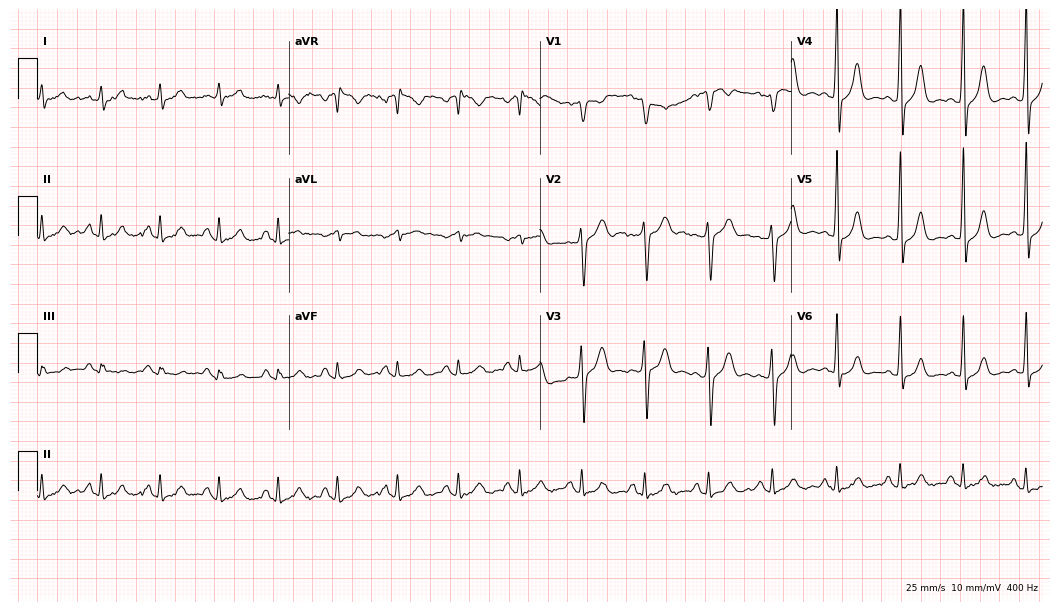
ECG (10.2-second recording at 400 Hz) — a male patient, 55 years old. Labelled as a normal ECG.